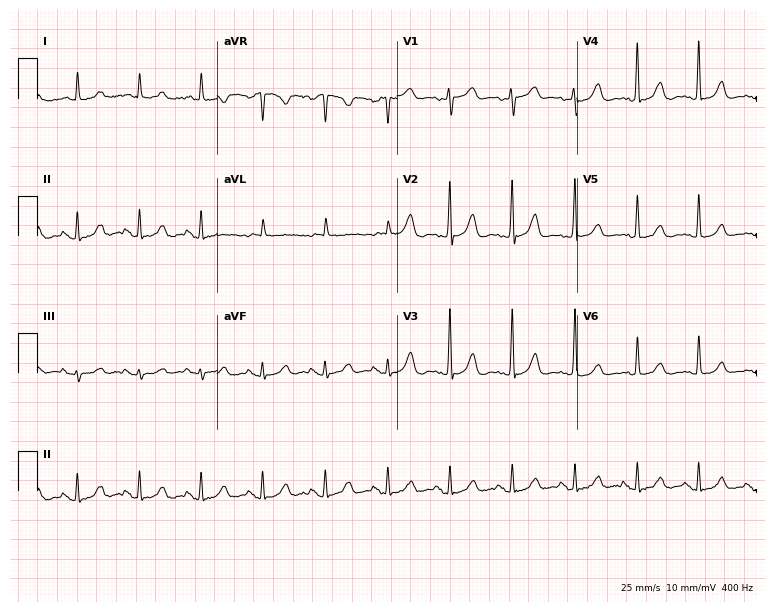
ECG (7.3-second recording at 400 Hz) — a female patient, 73 years old. Screened for six findings — first-degree AV block, right bundle branch block, left bundle branch block, sinus bradycardia, atrial fibrillation, sinus tachycardia — none is recorded. Only these six findings were labelled.